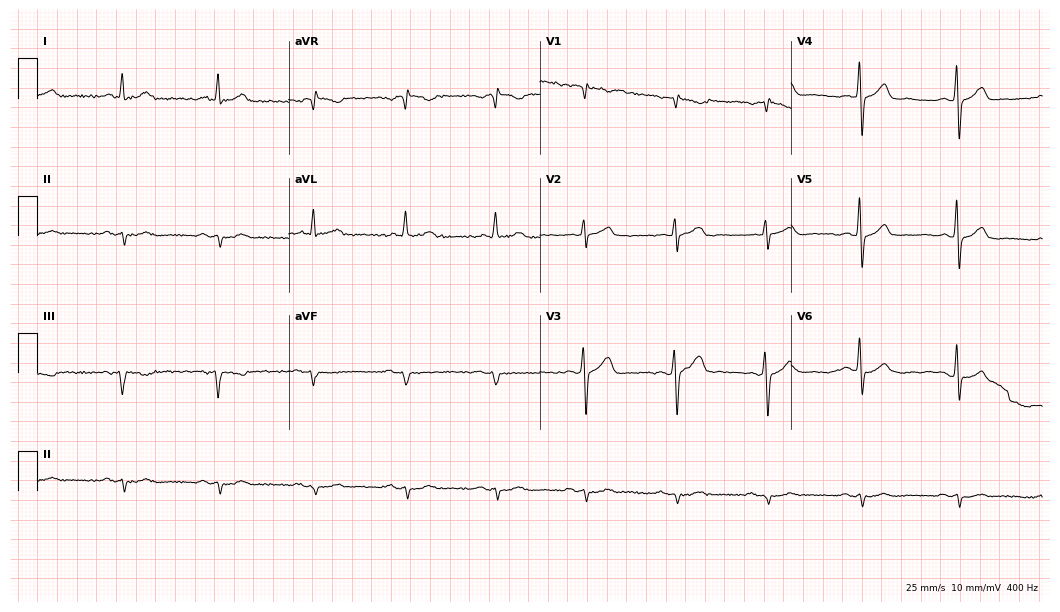
Electrocardiogram, a 69-year-old male patient. Of the six screened findings (first-degree AV block, right bundle branch block (RBBB), left bundle branch block (LBBB), sinus bradycardia, atrial fibrillation (AF), sinus tachycardia), none is recorded. Findings outside these six are not listed.